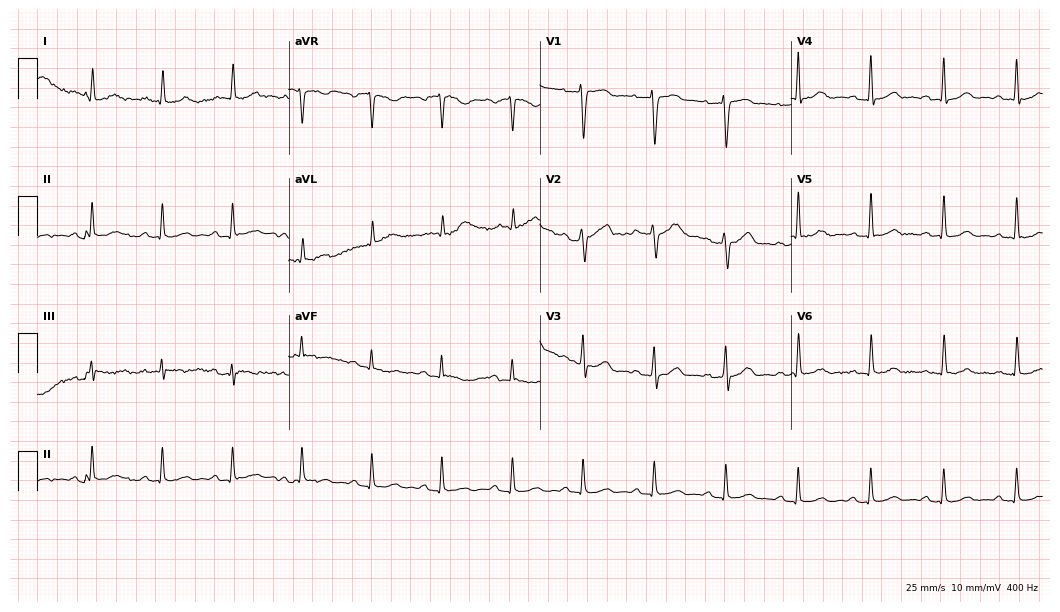
Resting 12-lead electrocardiogram (10.2-second recording at 400 Hz). Patient: a 54-year-old male. None of these six findings is recorded: first-degree AV block, right bundle branch block, left bundle branch block, sinus bradycardia, atrial fibrillation, sinus tachycardia.